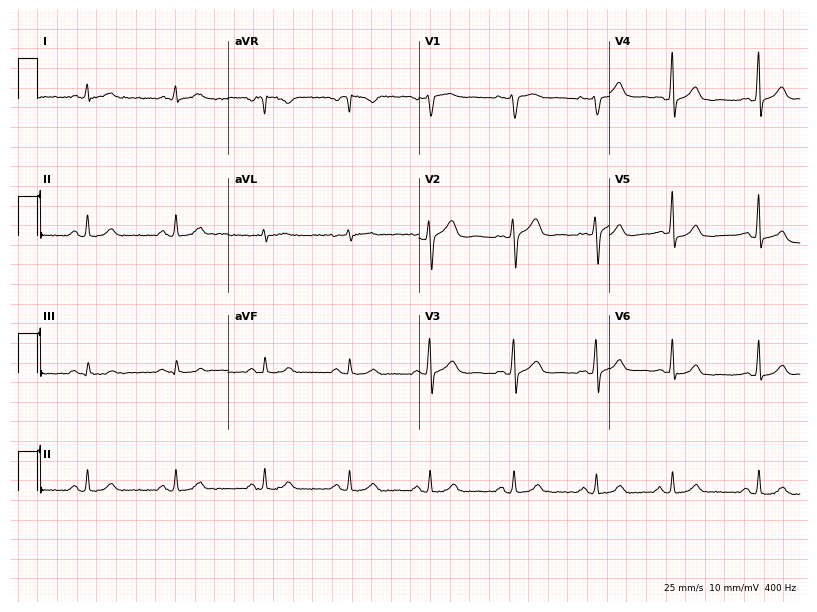
Standard 12-lead ECG recorded from a 35-year-old woman. Read as a normal ECG.